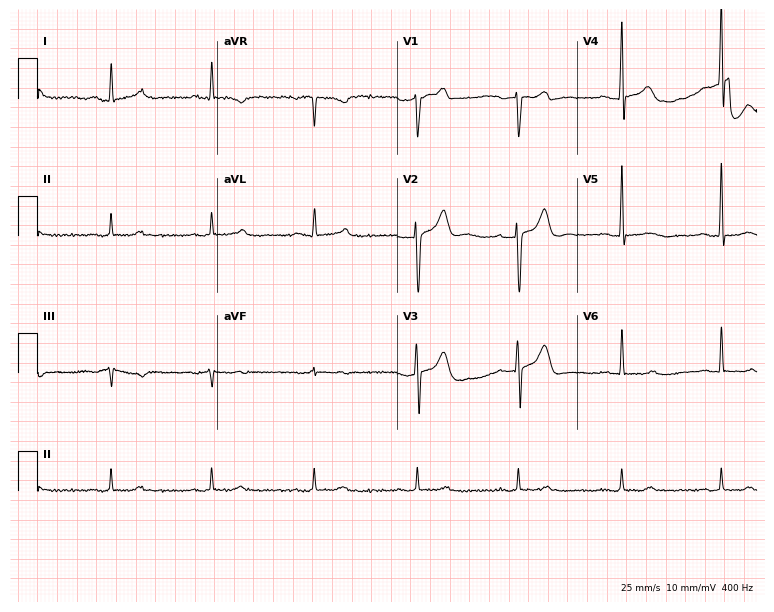
Resting 12-lead electrocardiogram (7.3-second recording at 400 Hz). Patient: a male, 75 years old. None of these six findings is recorded: first-degree AV block, right bundle branch block (RBBB), left bundle branch block (LBBB), sinus bradycardia, atrial fibrillation (AF), sinus tachycardia.